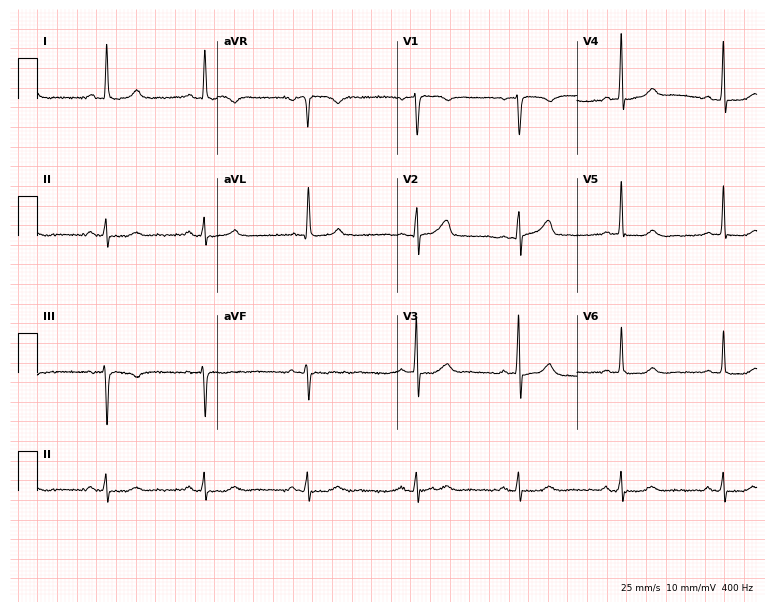
Resting 12-lead electrocardiogram (7.3-second recording at 400 Hz). Patient: a male, 79 years old. Read as a normal ECG.